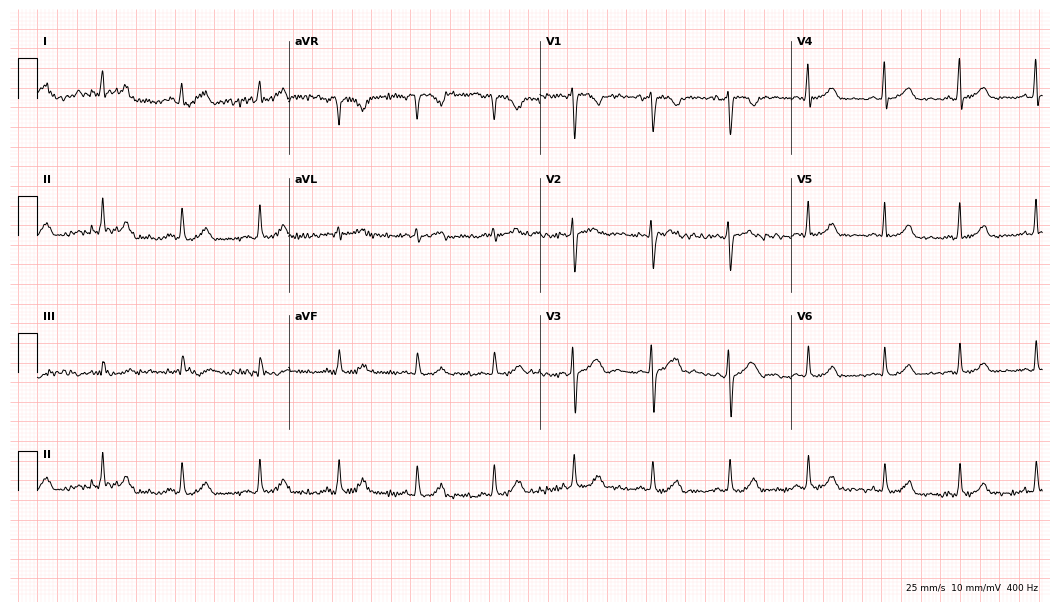
Electrocardiogram (10.2-second recording at 400 Hz), a 28-year-old female. Overall reading on record: normal ECG.